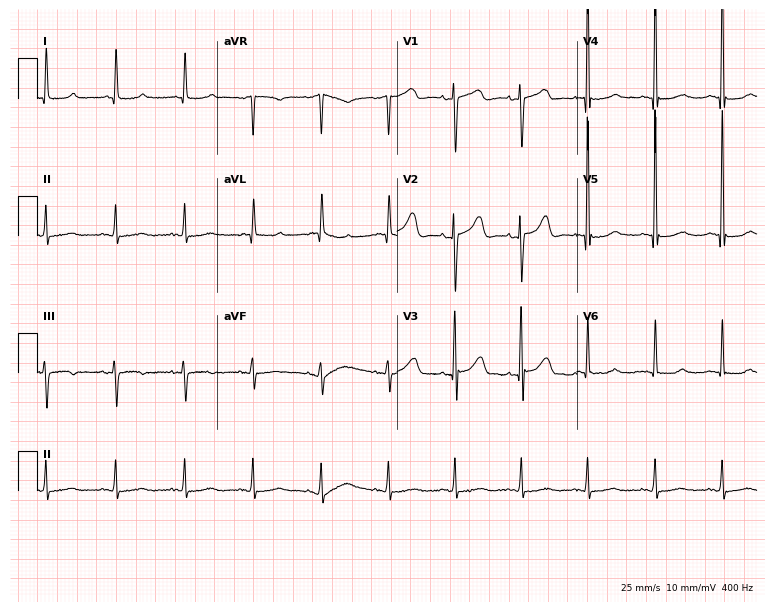
ECG — a female patient, 77 years old. Screened for six findings — first-degree AV block, right bundle branch block, left bundle branch block, sinus bradycardia, atrial fibrillation, sinus tachycardia — none is recorded. Findings outside these six are not listed.